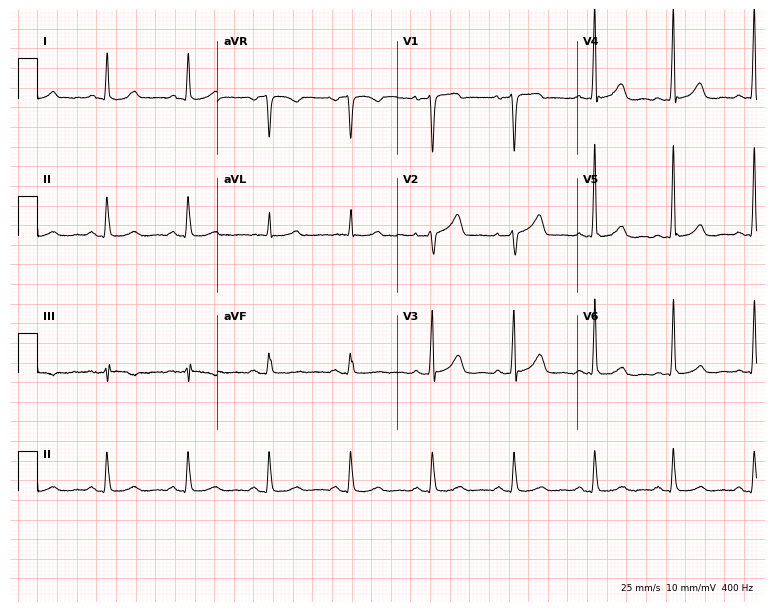
Electrocardiogram (7.3-second recording at 400 Hz), a 68-year-old male patient. Overall reading on record: normal ECG.